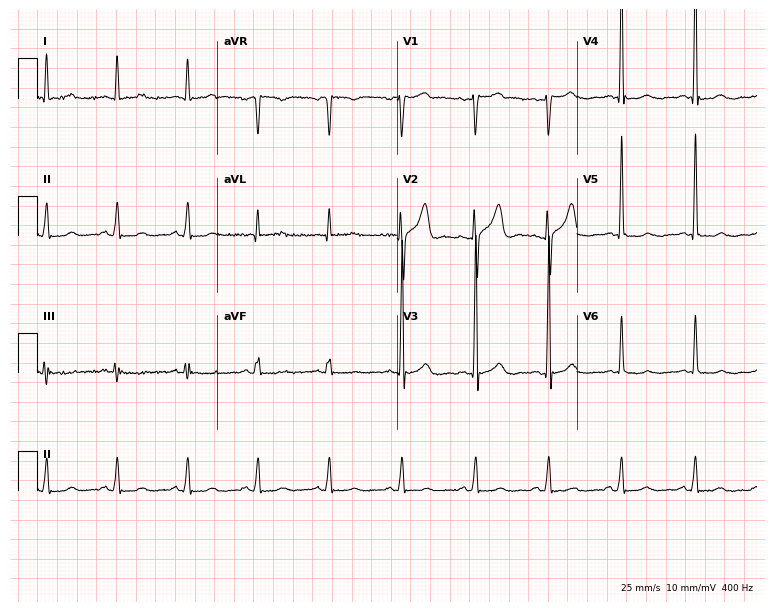
Electrocardiogram (7.3-second recording at 400 Hz), a 36-year-old male patient. Of the six screened findings (first-degree AV block, right bundle branch block, left bundle branch block, sinus bradycardia, atrial fibrillation, sinus tachycardia), none is recorded.